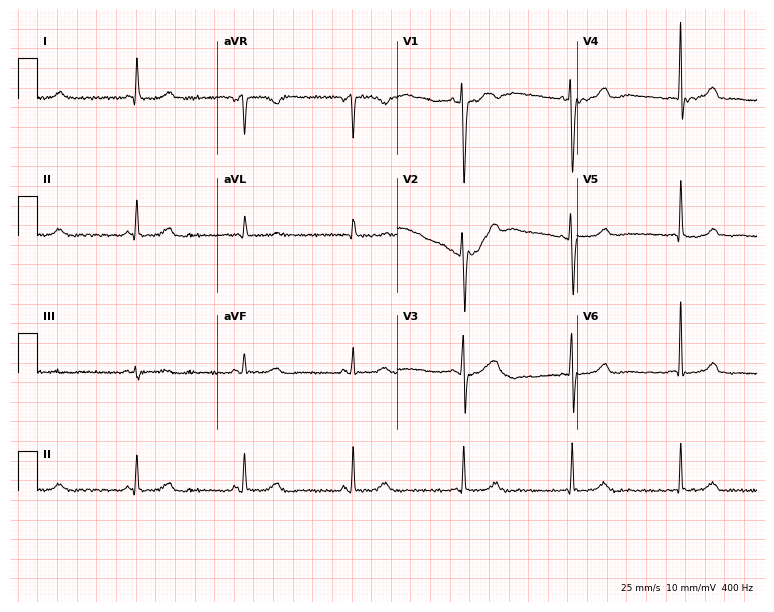
12-lead ECG (7.3-second recording at 400 Hz) from a female, 53 years old. Screened for six findings — first-degree AV block, right bundle branch block, left bundle branch block, sinus bradycardia, atrial fibrillation, sinus tachycardia — none is recorded.